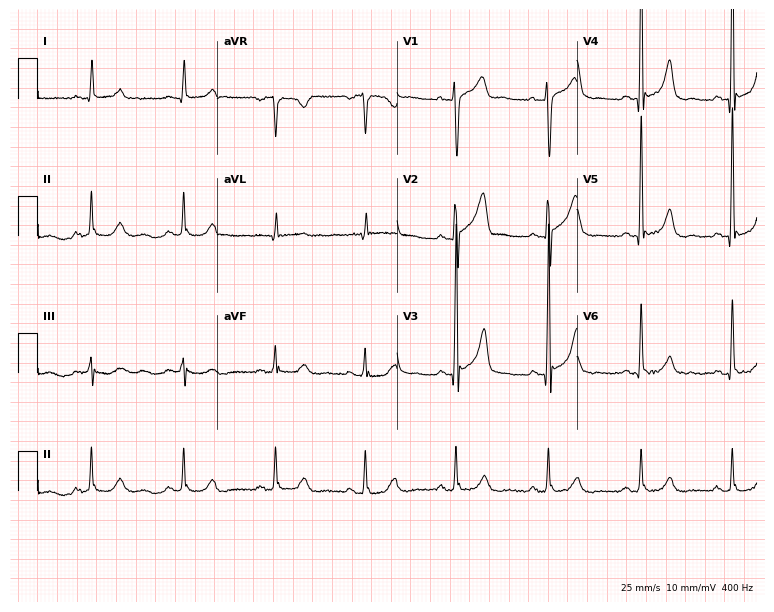
12-lead ECG from a male, 57 years old (7.3-second recording at 400 Hz). No first-degree AV block, right bundle branch block, left bundle branch block, sinus bradycardia, atrial fibrillation or sinus tachycardia recorded for this tracing.